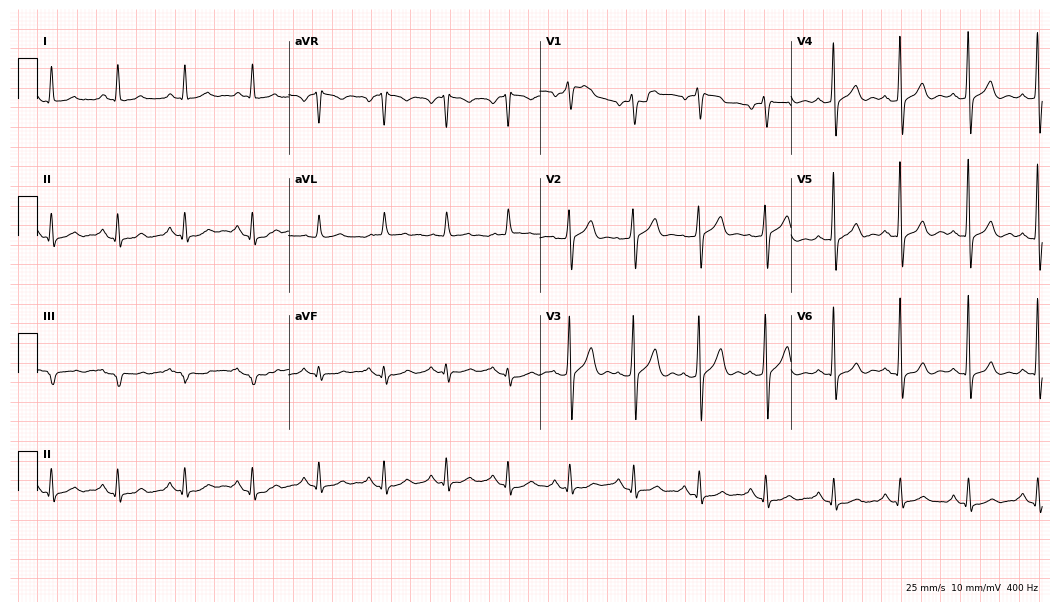
12-lead ECG from a 68-year-old male (10.2-second recording at 400 Hz). No first-degree AV block, right bundle branch block, left bundle branch block, sinus bradycardia, atrial fibrillation or sinus tachycardia recorded for this tracing.